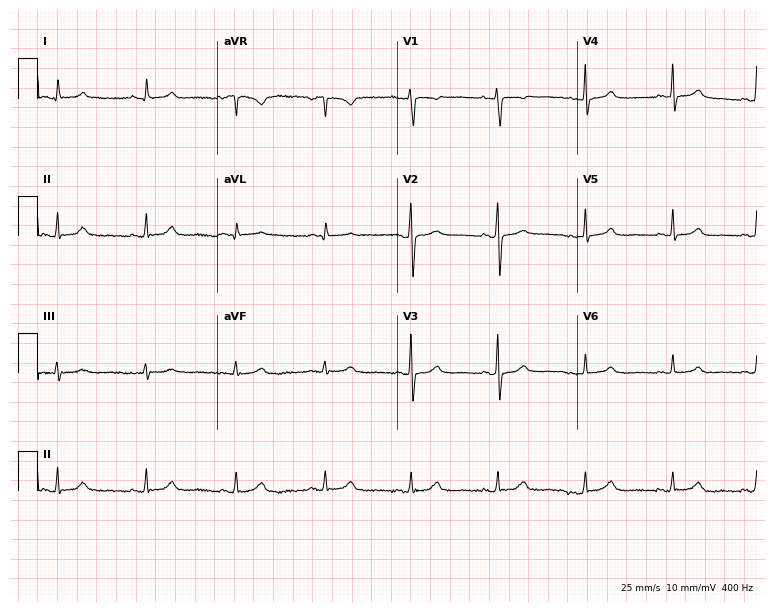
Standard 12-lead ECG recorded from a female, 35 years old (7.3-second recording at 400 Hz). None of these six findings is recorded: first-degree AV block, right bundle branch block (RBBB), left bundle branch block (LBBB), sinus bradycardia, atrial fibrillation (AF), sinus tachycardia.